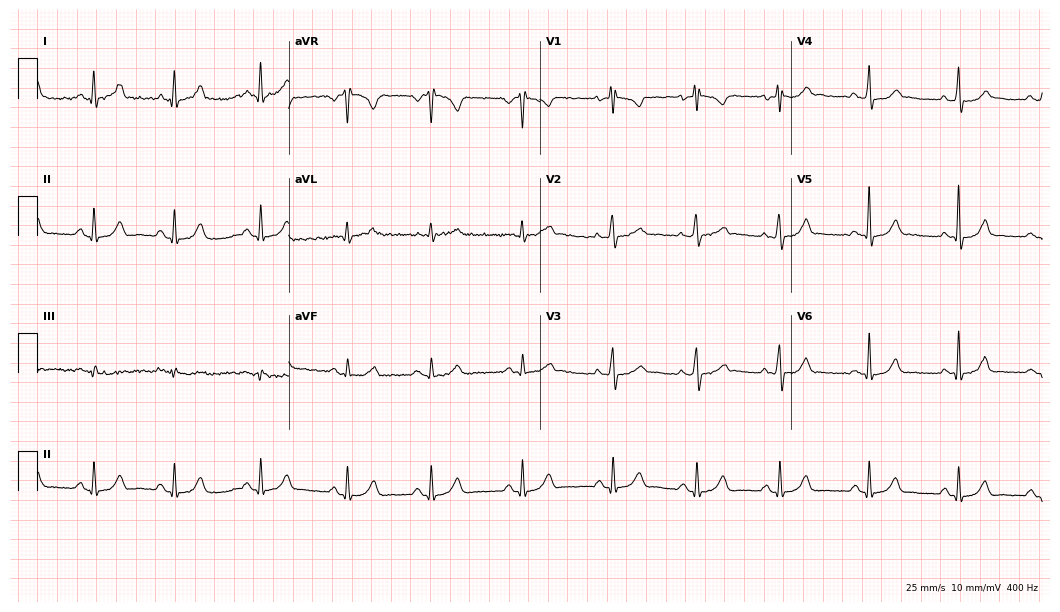
12-lead ECG from a woman, 22 years old. No first-degree AV block, right bundle branch block, left bundle branch block, sinus bradycardia, atrial fibrillation or sinus tachycardia recorded for this tracing. Findings outside these six are not listed.